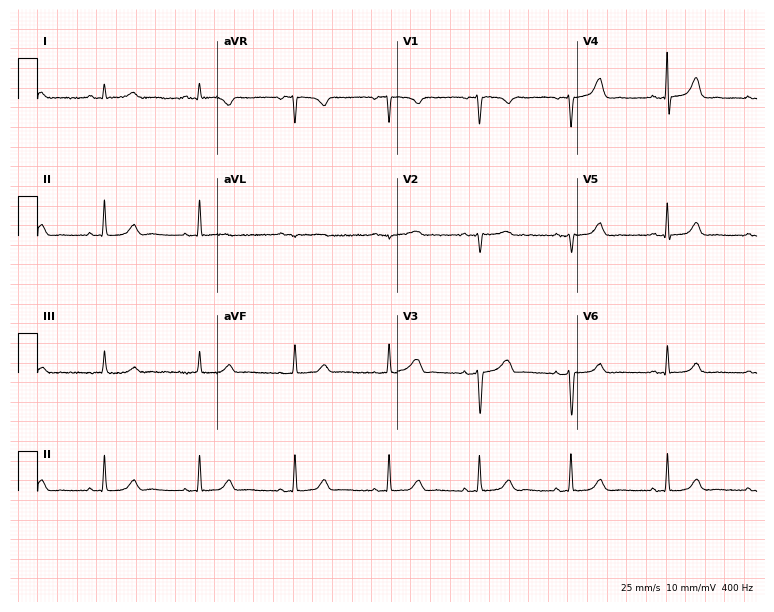
ECG — a female patient, 30 years old. Screened for six findings — first-degree AV block, right bundle branch block (RBBB), left bundle branch block (LBBB), sinus bradycardia, atrial fibrillation (AF), sinus tachycardia — none is recorded.